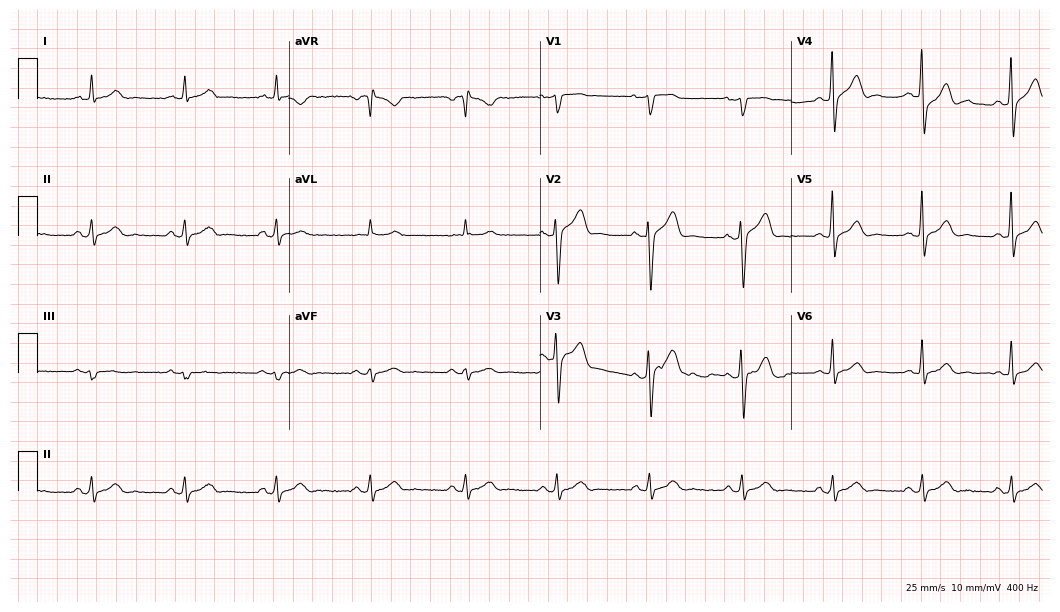
Standard 12-lead ECG recorded from a male, 48 years old. None of these six findings is recorded: first-degree AV block, right bundle branch block, left bundle branch block, sinus bradycardia, atrial fibrillation, sinus tachycardia.